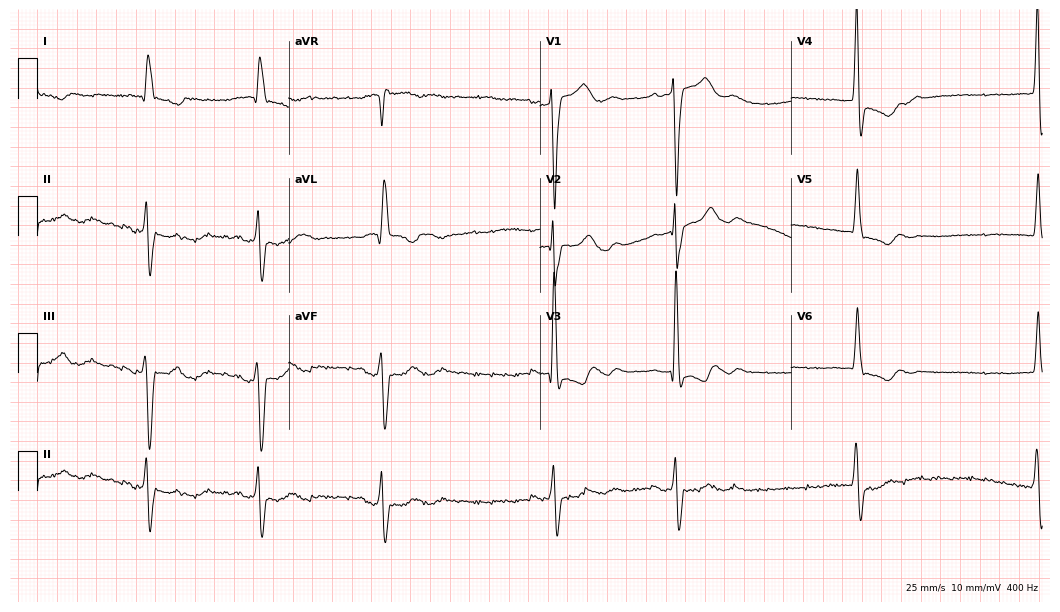
12-lead ECG (10.2-second recording at 400 Hz) from a female patient, 85 years old. Screened for six findings — first-degree AV block, right bundle branch block, left bundle branch block, sinus bradycardia, atrial fibrillation, sinus tachycardia — none is recorded.